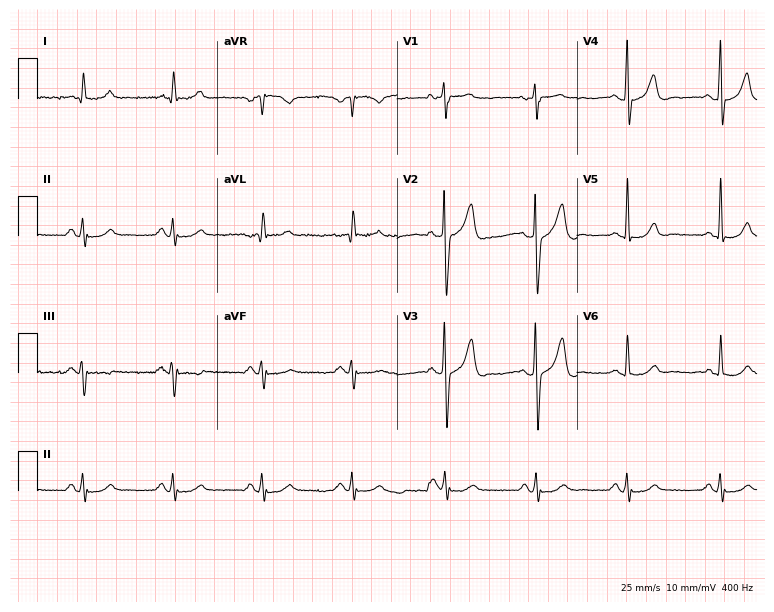
ECG — a 57-year-old male. Labelled as a normal ECG.